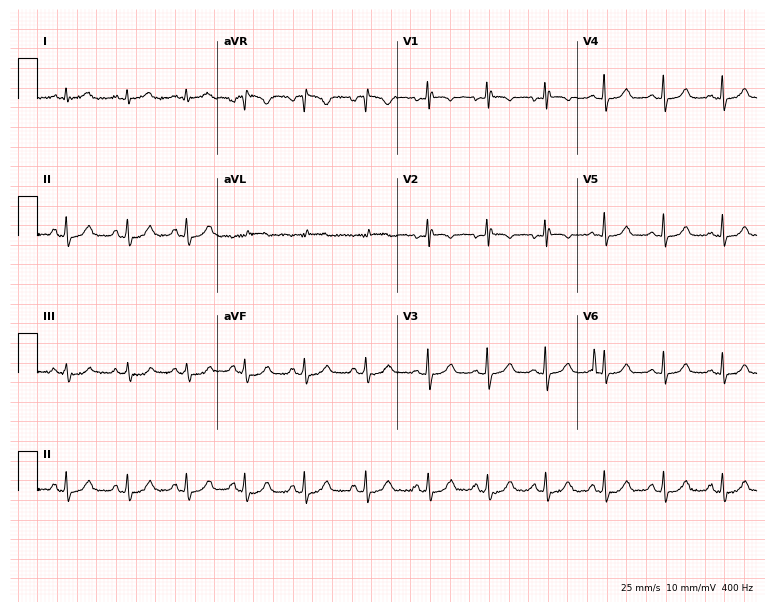
Resting 12-lead electrocardiogram (7.3-second recording at 400 Hz). Patient: an 18-year-old female. Read as a normal ECG.